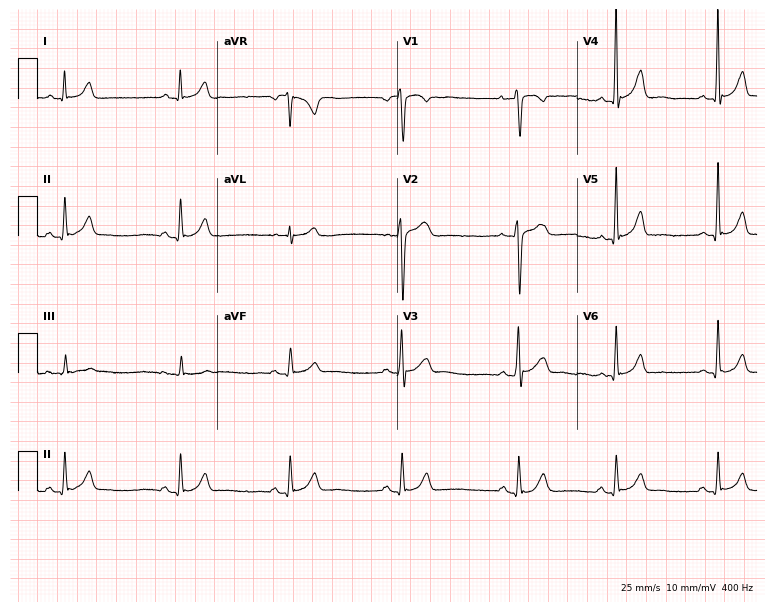
12-lead ECG from a female patient, 23 years old (7.3-second recording at 400 Hz). No first-degree AV block, right bundle branch block (RBBB), left bundle branch block (LBBB), sinus bradycardia, atrial fibrillation (AF) or sinus tachycardia recorded for this tracing. Other findings, if any, are not listed.